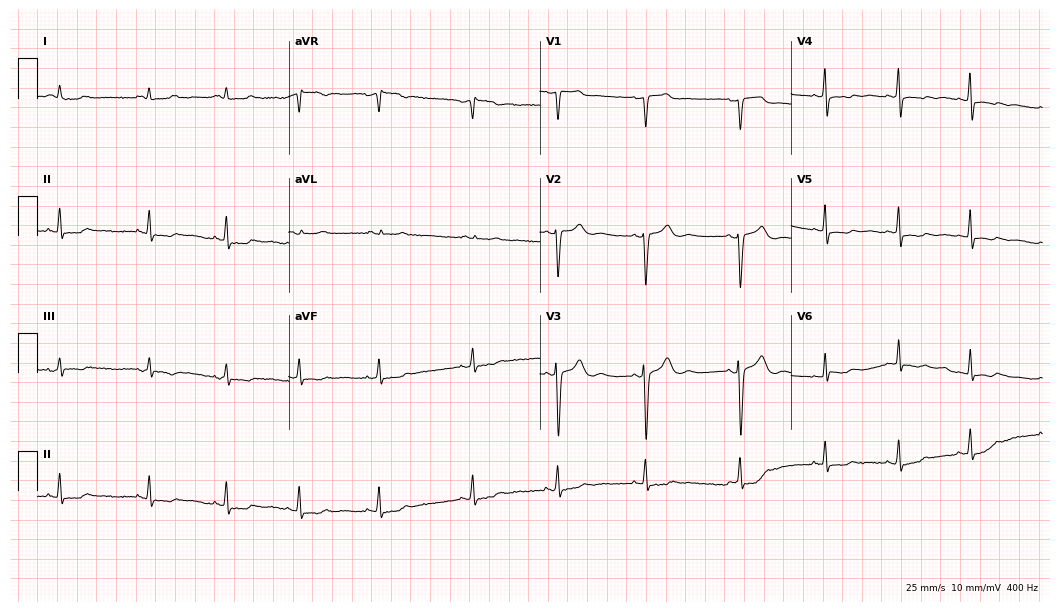
Electrocardiogram (10.2-second recording at 400 Hz), a 39-year-old woman. Of the six screened findings (first-degree AV block, right bundle branch block (RBBB), left bundle branch block (LBBB), sinus bradycardia, atrial fibrillation (AF), sinus tachycardia), none is recorded. Only these six findings were labelled.